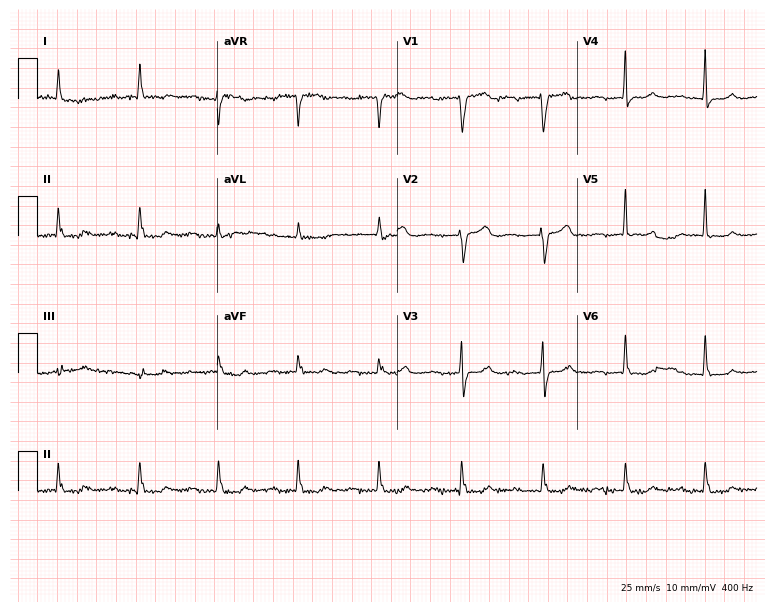
Electrocardiogram (7.3-second recording at 400 Hz), a woman, 82 years old. Of the six screened findings (first-degree AV block, right bundle branch block (RBBB), left bundle branch block (LBBB), sinus bradycardia, atrial fibrillation (AF), sinus tachycardia), none is recorded.